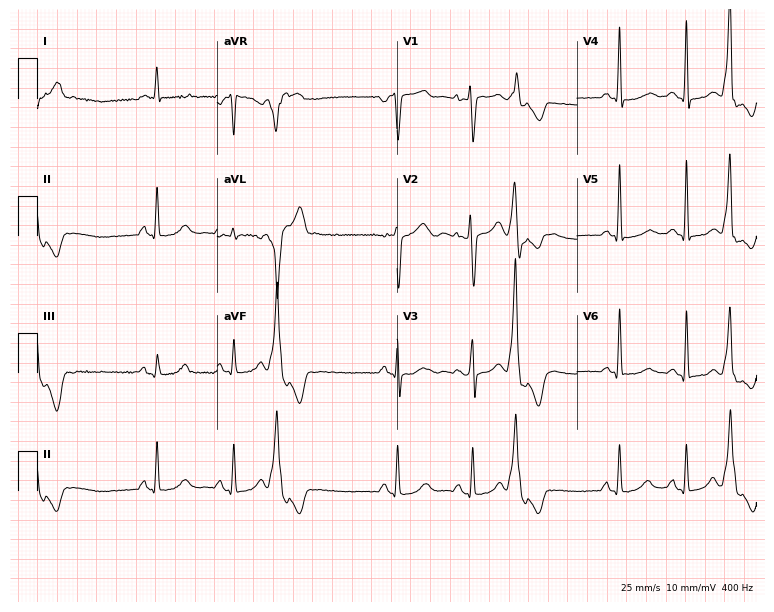
12-lead ECG from a 37-year-old female. Screened for six findings — first-degree AV block, right bundle branch block (RBBB), left bundle branch block (LBBB), sinus bradycardia, atrial fibrillation (AF), sinus tachycardia — none is recorded. Findings outside these six are not listed.